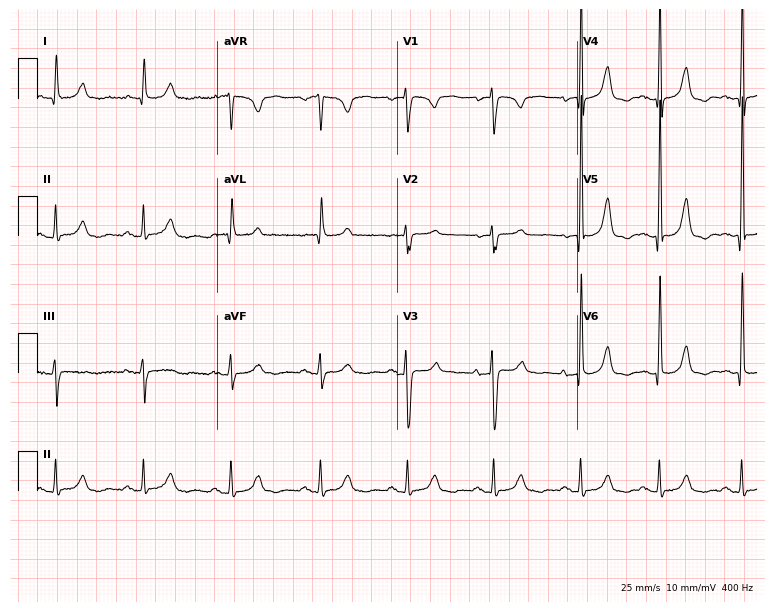
12-lead ECG from a woman, 77 years old. No first-degree AV block, right bundle branch block (RBBB), left bundle branch block (LBBB), sinus bradycardia, atrial fibrillation (AF) or sinus tachycardia recorded for this tracing.